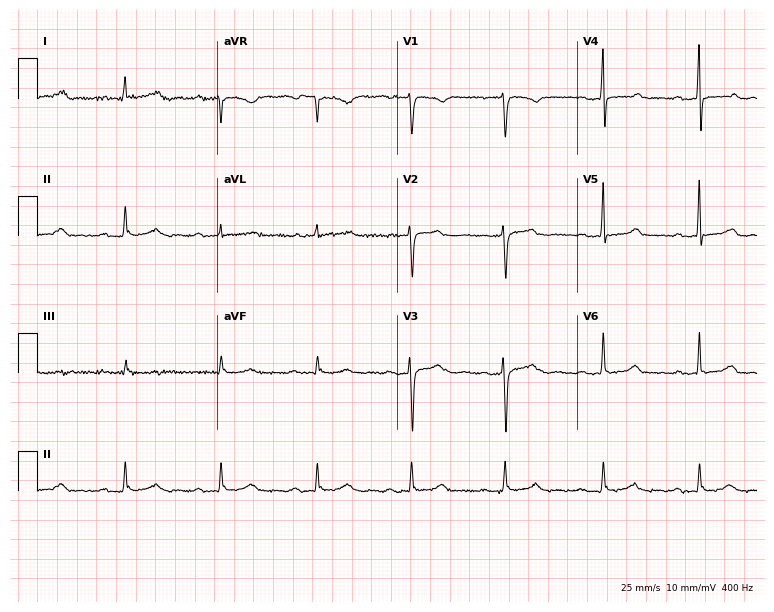
ECG — a 53-year-old woman. Screened for six findings — first-degree AV block, right bundle branch block, left bundle branch block, sinus bradycardia, atrial fibrillation, sinus tachycardia — none is recorded.